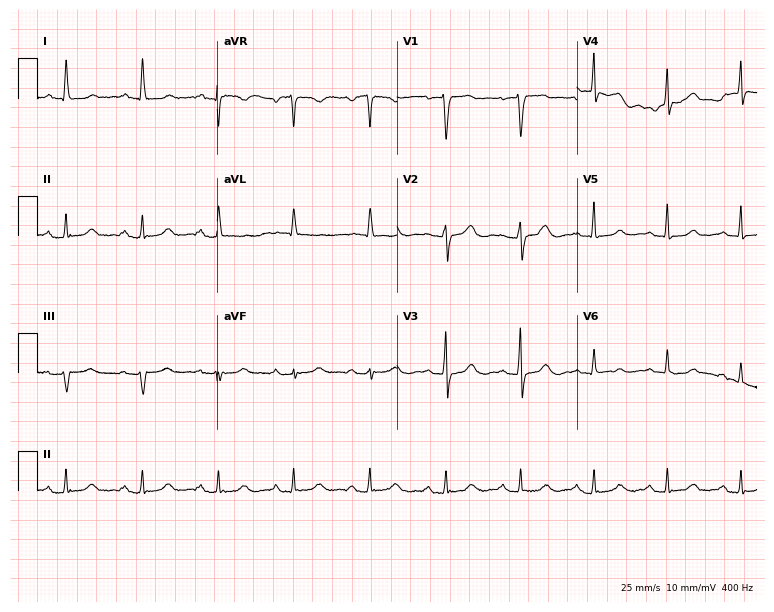
ECG (7.3-second recording at 400 Hz) — a female, 67 years old. Screened for six findings — first-degree AV block, right bundle branch block (RBBB), left bundle branch block (LBBB), sinus bradycardia, atrial fibrillation (AF), sinus tachycardia — none is recorded. Other findings, if any, are not listed.